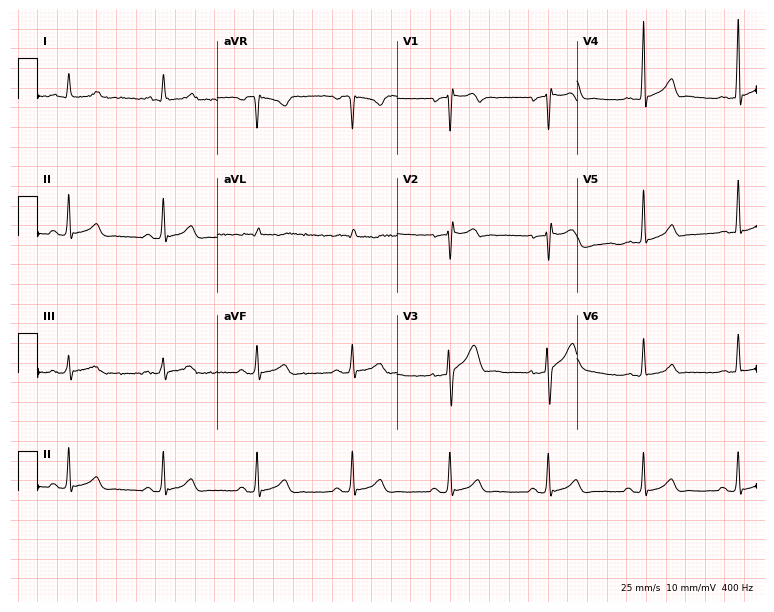
12-lead ECG from a 26-year-old male patient. Screened for six findings — first-degree AV block, right bundle branch block, left bundle branch block, sinus bradycardia, atrial fibrillation, sinus tachycardia — none is recorded.